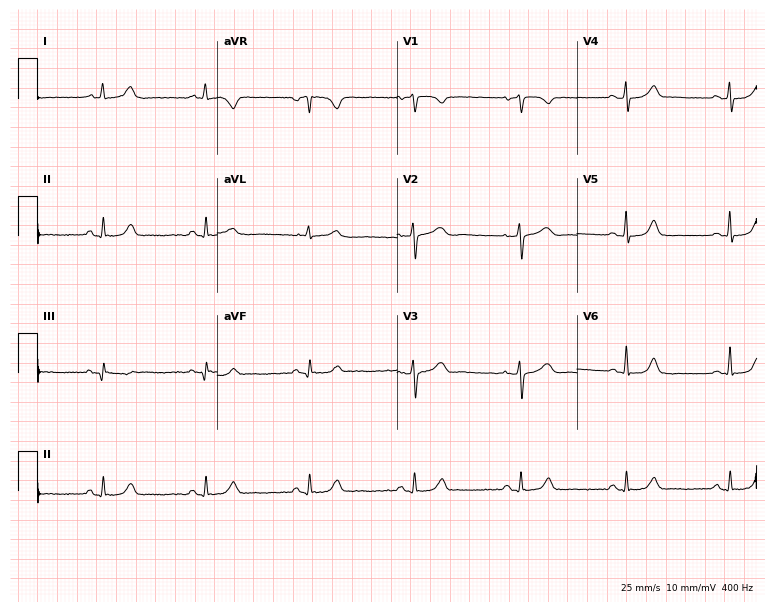
12-lead ECG from a woman, 46 years old (7.3-second recording at 400 Hz). No first-degree AV block, right bundle branch block (RBBB), left bundle branch block (LBBB), sinus bradycardia, atrial fibrillation (AF) or sinus tachycardia recorded for this tracing. Other findings, if any, are not listed.